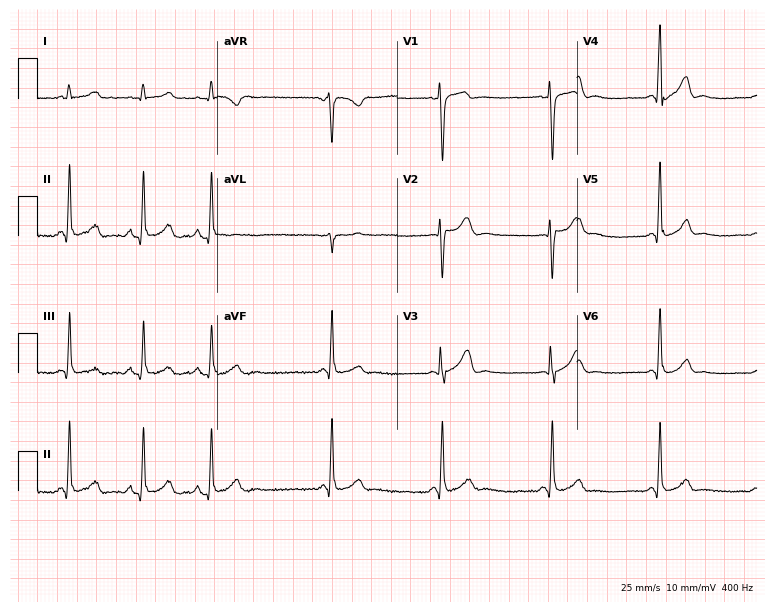
ECG (7.3-second recording at 400 Hz) — a 27-year-old male. Screened for six findings — first-degree AV block, right bundle branch block, left bundle branch block, sinus bradycardia, atrial fibrillation, sinus tachycardia — none is recorded. Only these six findings were labelled.